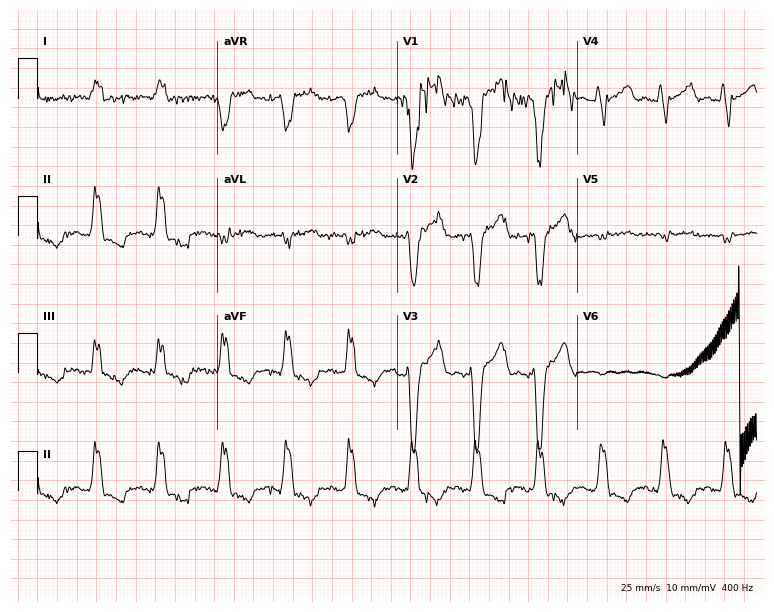
12-lead ECG from an 82-year-old male patient. Shows left bundle branch block.